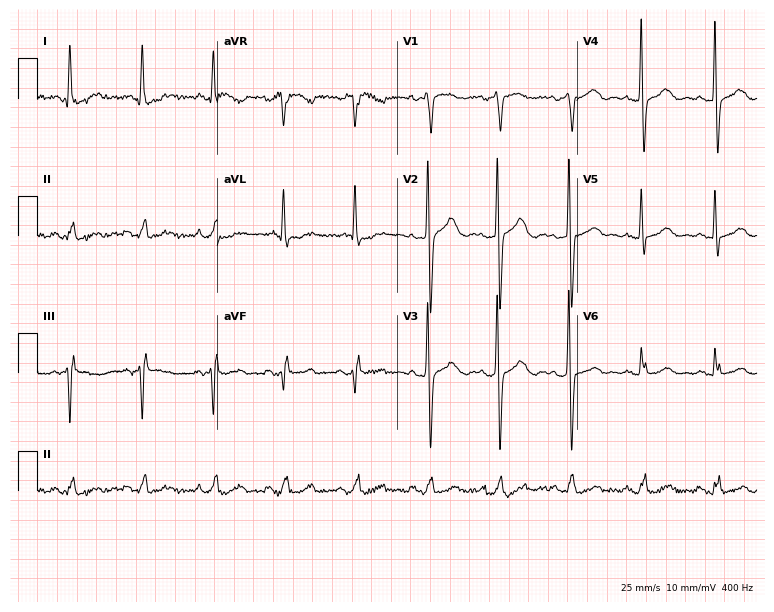
Resting 12-lead electrocardiogram. Patient: a 68-year-old female. None of these six findings is recorded: first-degree AV block, right bundle branch block, left bundle branch block, sinus bradycardia, atrial fibrillation, sinus tachycardia.